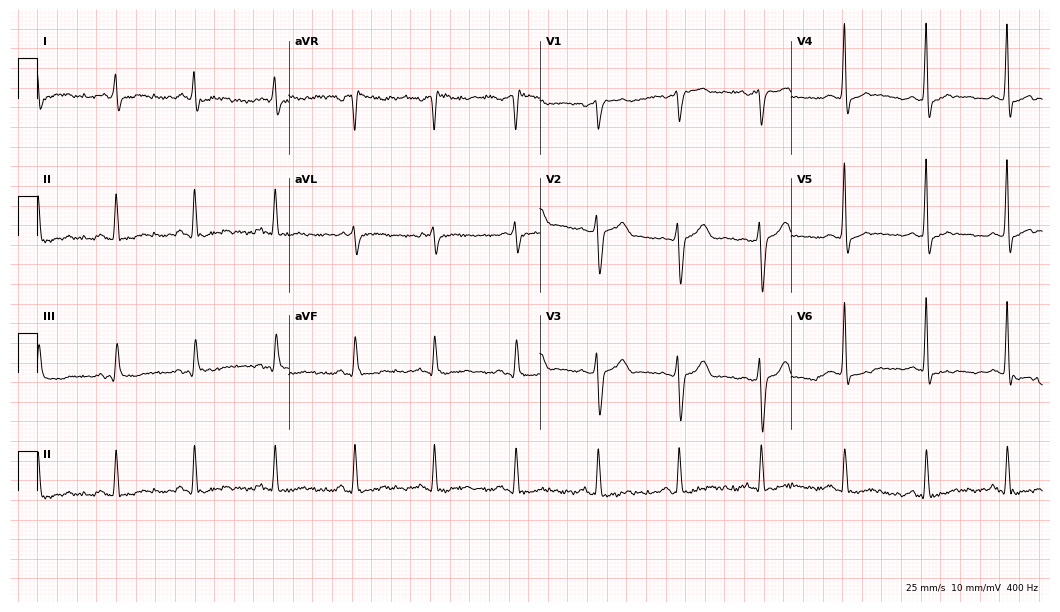
ECG — a 59-year-old male. Screened for six findings — first-degree AV block, right bundle branch block, left bundle branch block, sinus bradycardia, atrial fibrillation, sinus tachycardia — none is recorded. Only these six findings were labelled.